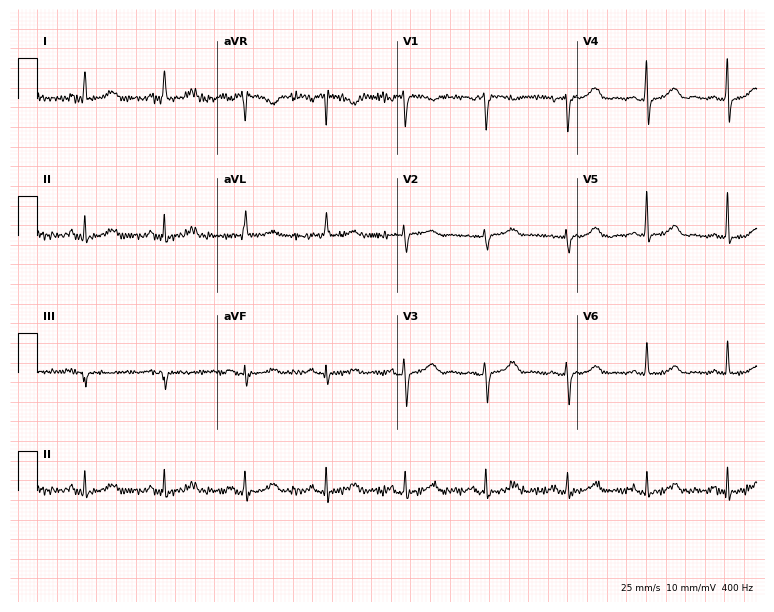
12-lead ECG (7.3-second recording at 400 Hz) from a woman, 57 years old. Labelled as a normal ECG.